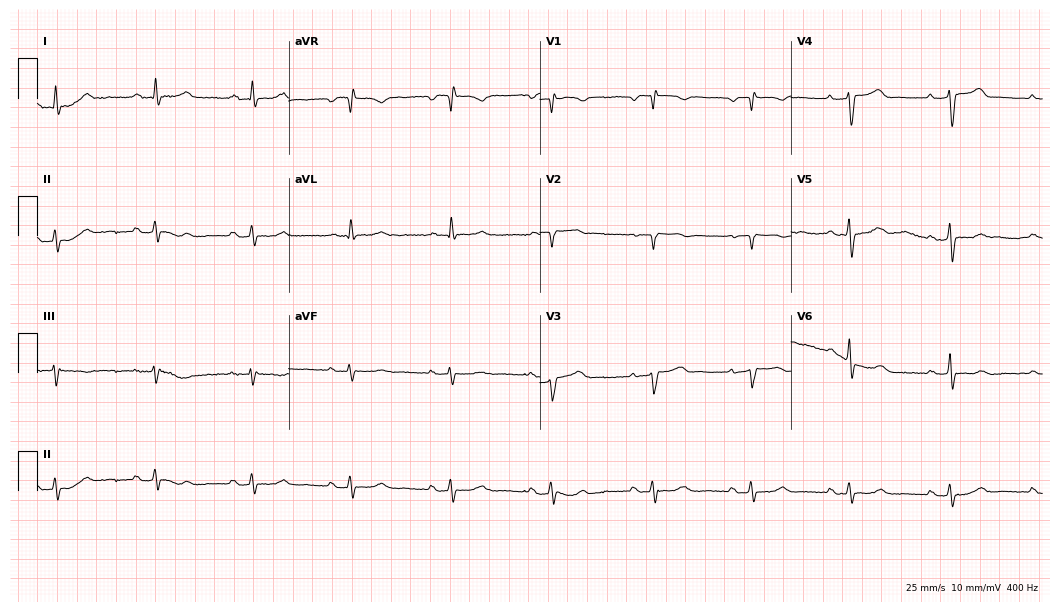
Standard 12-lead ECG recorded from a female patient, 64 years old (10.2-second recording at 400 Hz). None of these six findings is recorded: first-degree AV block, right bundle branch block, left bundle branch block, sinus bradycardia, atrial fibrillation, sinus tachycardia. Findings outside these six are not listed.